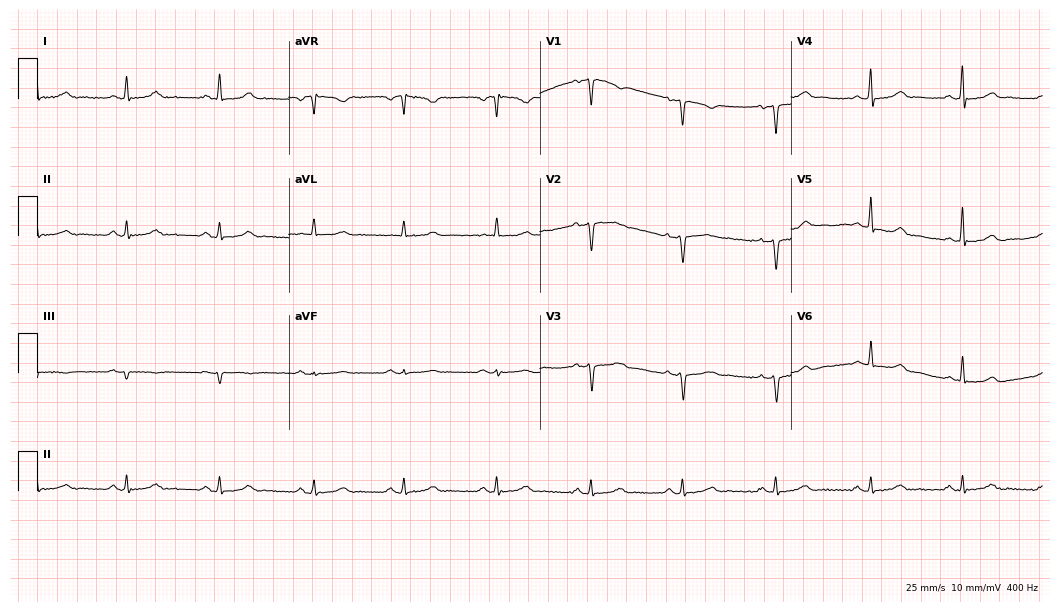
Standard 12-lead ECG recorded from a female patient, 47 years old (10.2-second recording at 400 Hz). None of these six findings is recorded: first-degree AV block, right bundle branch block (RBBB), left bundle branch block (LBBB), sinus bradycardia, atrial fibrillation (AF), sinus tachycardia. Findings outside these six are not listed.